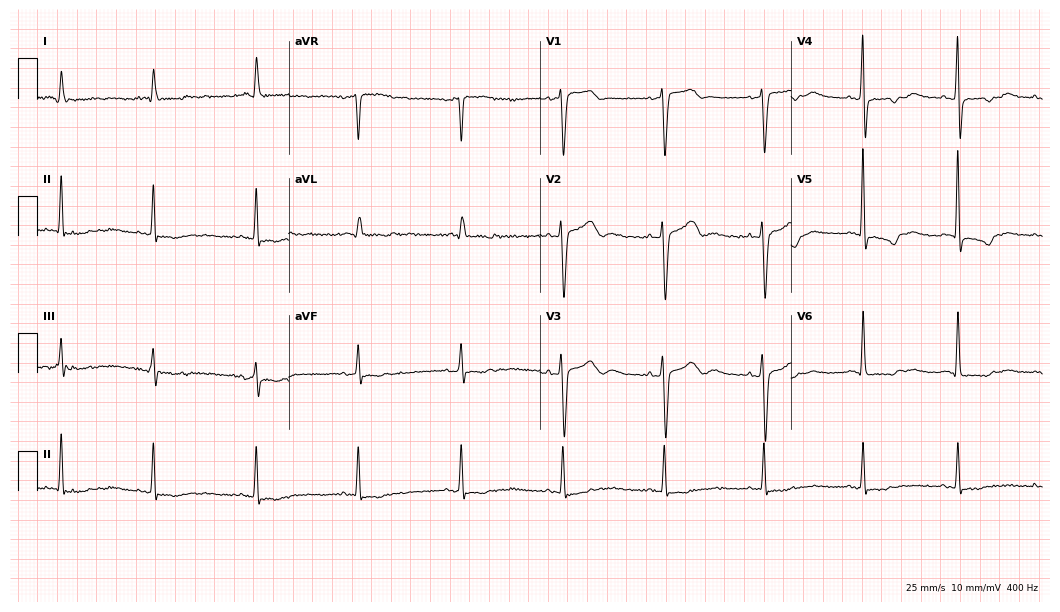
12-lead ECG from a female, 83 years old. No first-degree AV block, right bundle branch block, left bundle branch block, sinus bradycardia, atrial fibrillation or sinus tachycardia recorded for this tracing.